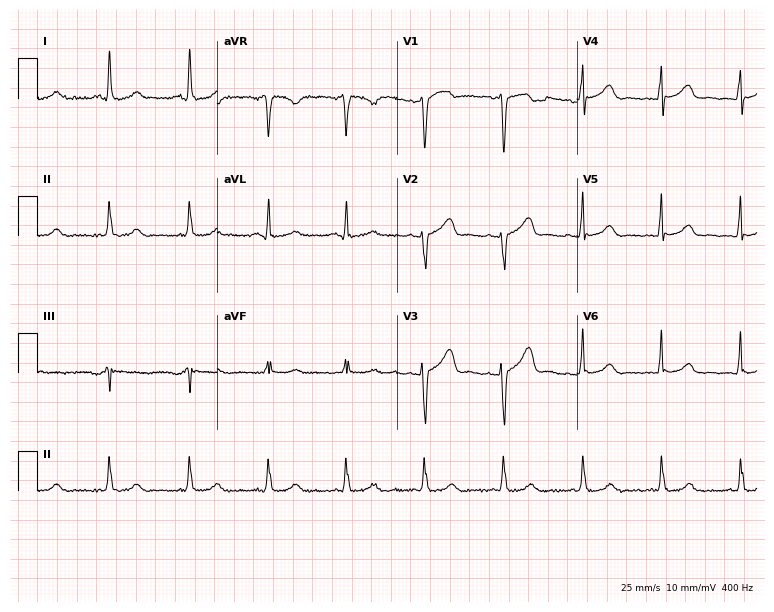
Resting 12-lead electrocardiogram (7.3-second recording at 400 Hz). Patient: a female, 60 years old. None of these six findings is recorded: first-degree AV block, right bundle branch block, left bundle branch block, sinus bradycardia, atrial fibrillation, sinus tachycardia. Other findings, if any, are not listed.